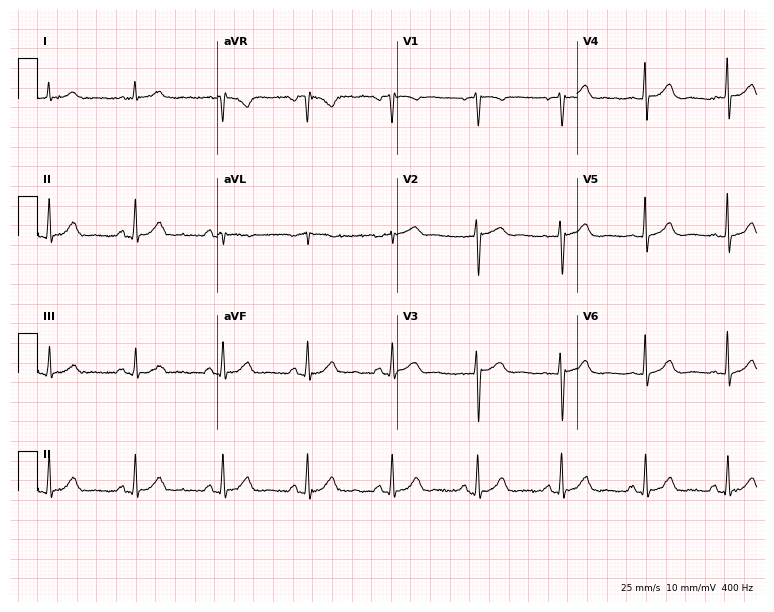
12-lead ECG (7.3-second recording at 400 Hz) from a man, 54 years old. Screened for six findings — first-degree AV block, right bundle branch block (RBBB), left bundle branch block (LBBB), sinus bradycardia, atrial fibrillation (AF), sinus tachycardia — none is recorded.